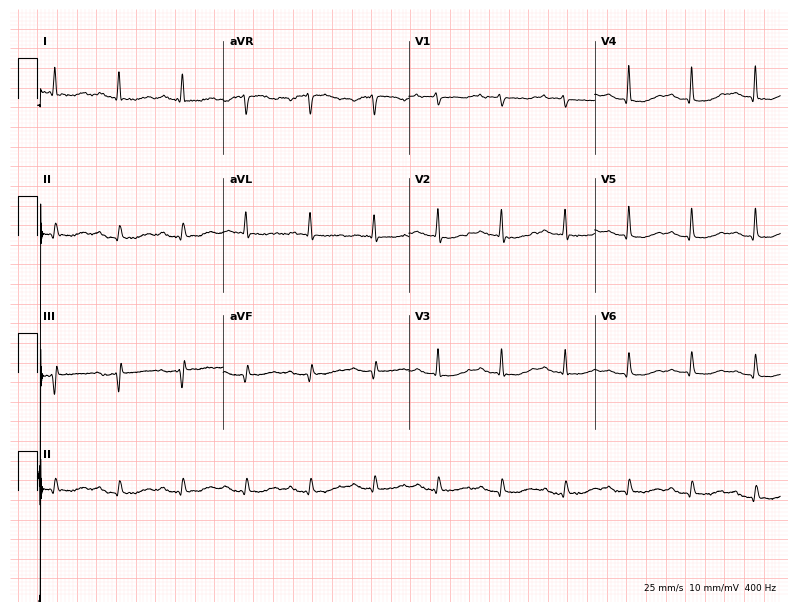
Resting 12-lead electrocardiogram (7.6-second recording at 400 Hz). Patient: a female, 85 years old. None of these six findings is recorded: first-degree AV block, right bundle branch block, left bundle branch block, sinus bradycardia, atrial fibrillation, sinus tachycardia. Only these six findings were labelled.